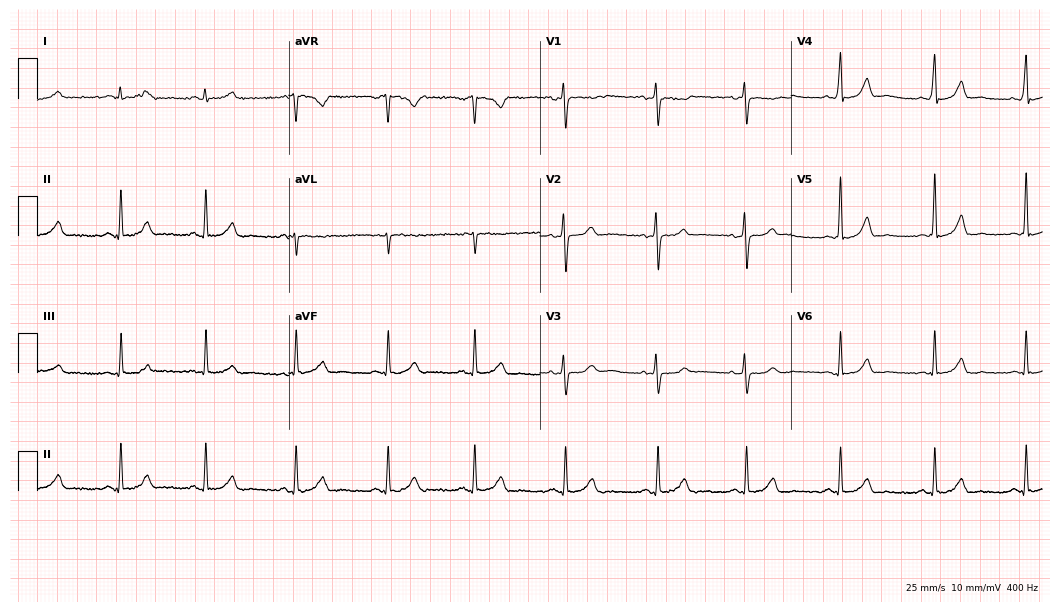
12-lead ECG (10.2-second recording at 400 Hz) from a 36-year-old female. Labelled as a normal ECG.